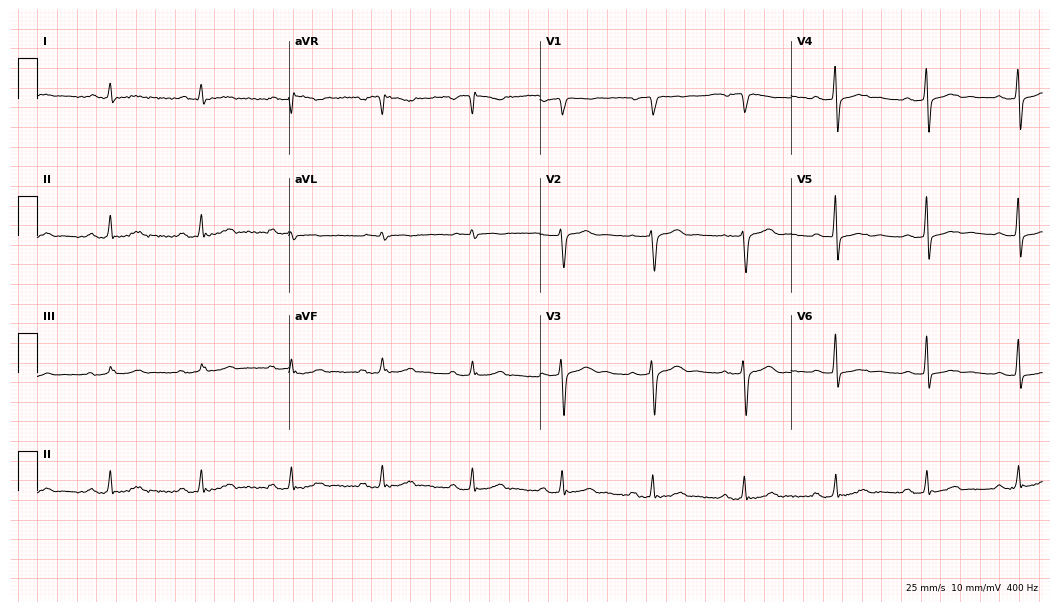
Electrocardiogram, a female, 63 years old. Interpretation includes first-degree AV block.